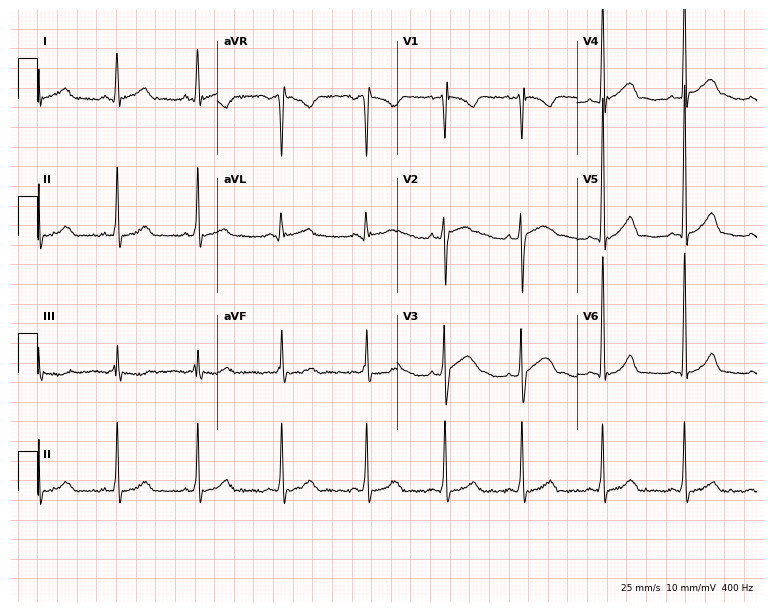
Resting 12-lead electrocardiogram. Patient: a 34-year-old male. None of these six findings is recorded: first-degree AV block, right bundle branch block (RBBB), left bundle branch block (LBBB), sinus bradycardia, atrial fibrillation (AF), sinus tachycardia.